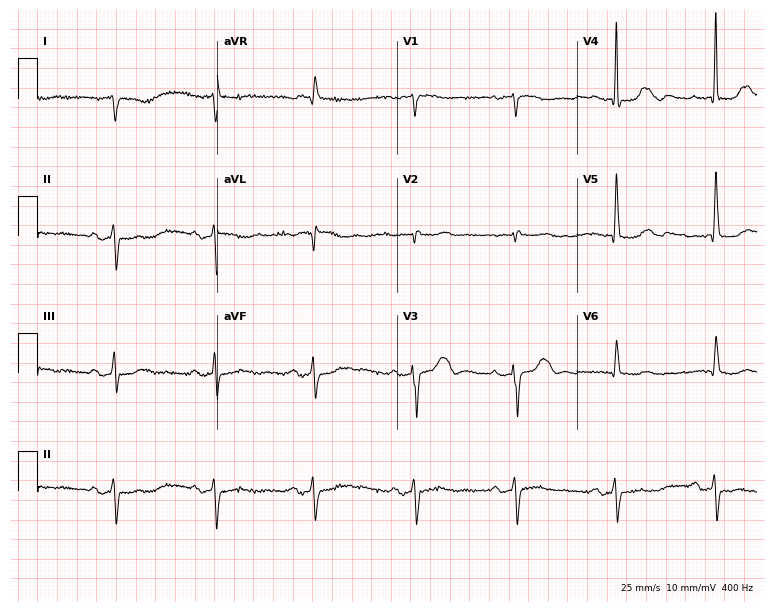
Electrocardiogram (7.3-second recording at 400 Hz), a female, 79 years old. Of the six screened findings (first-degree AV block, right bundle branch block, left bundle branch block, sinus bradycardia, atrial fibrillation, sinus tachycardia), none is recorded. Only these six findings were labelled.